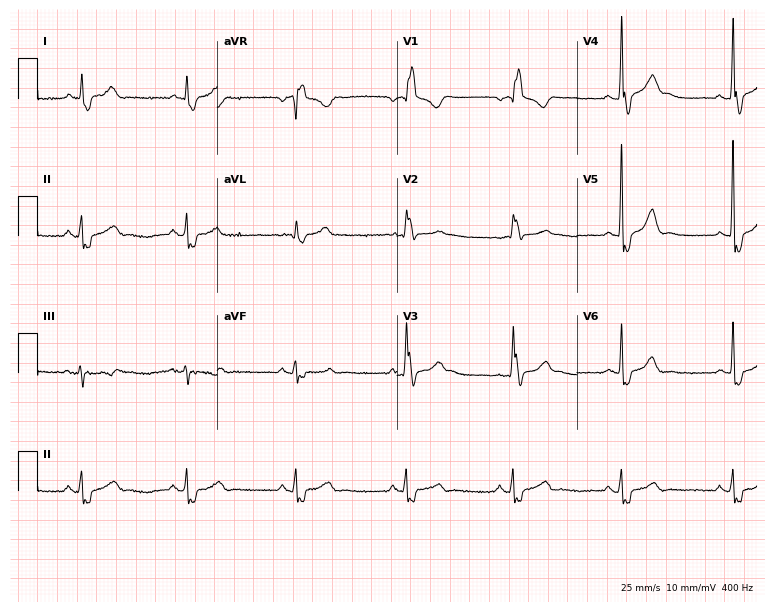
ECG — a 61-year-old male patient. Findings include right bundle branch block (RBBB).